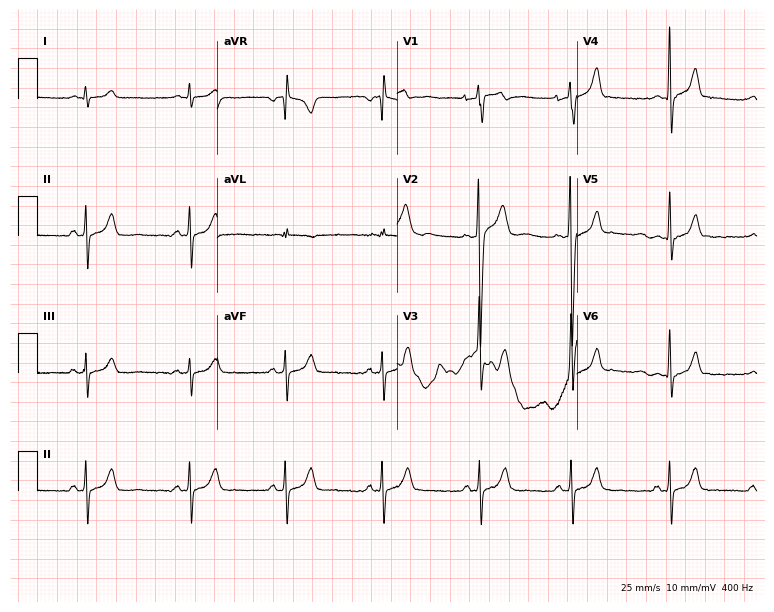
ECG — a man, 20 years old. Screened for six findings — first-degree AV block, right bundle branch block, left bundle branch block, sinus bradycardia, atrial fibrillation, sinus tachycardia — none is recorded. Only these six findings were labelled.